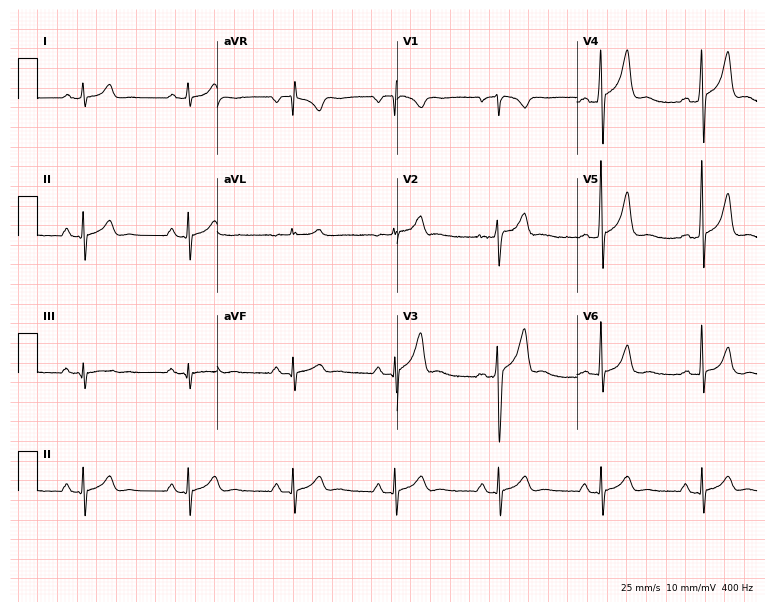
Standard 12-lead ECG recorded from a male patient, 47 years old. None of these six findings is recorded: first-degree AV block, right bundle branch block (RBBB), left bundle branch block (LBBB), sinus bradycardia, atrial fibrillation (AF), sinus tachycardia.